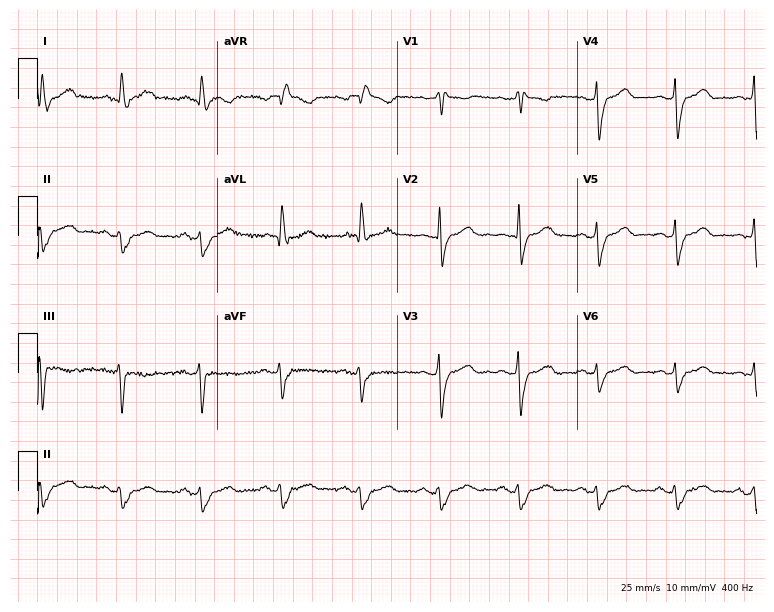
ECG — a 65-year-old woman. Findings include right bundle branch block (RBBB).